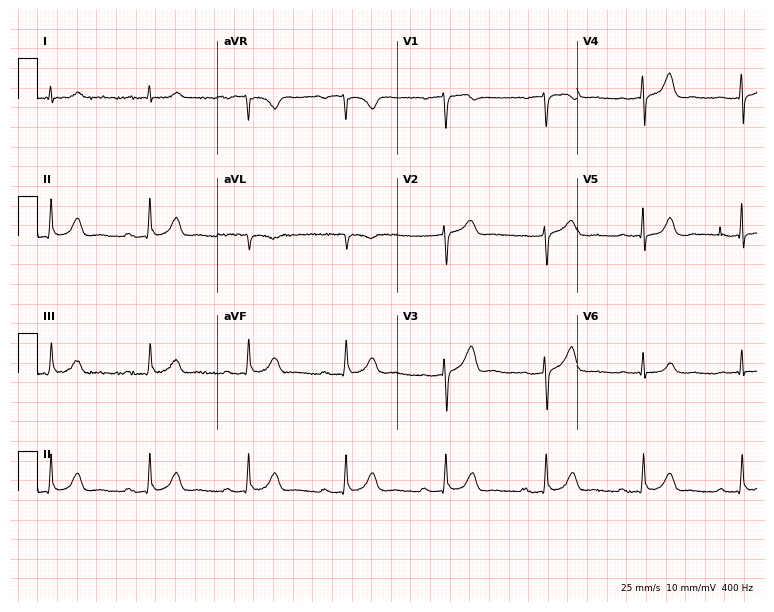
Resting 12-lead electrocardiogram (7.3-second recording at 400 Hz). Patient: a 69-year-old male. The tracing shows first-degree AV block.